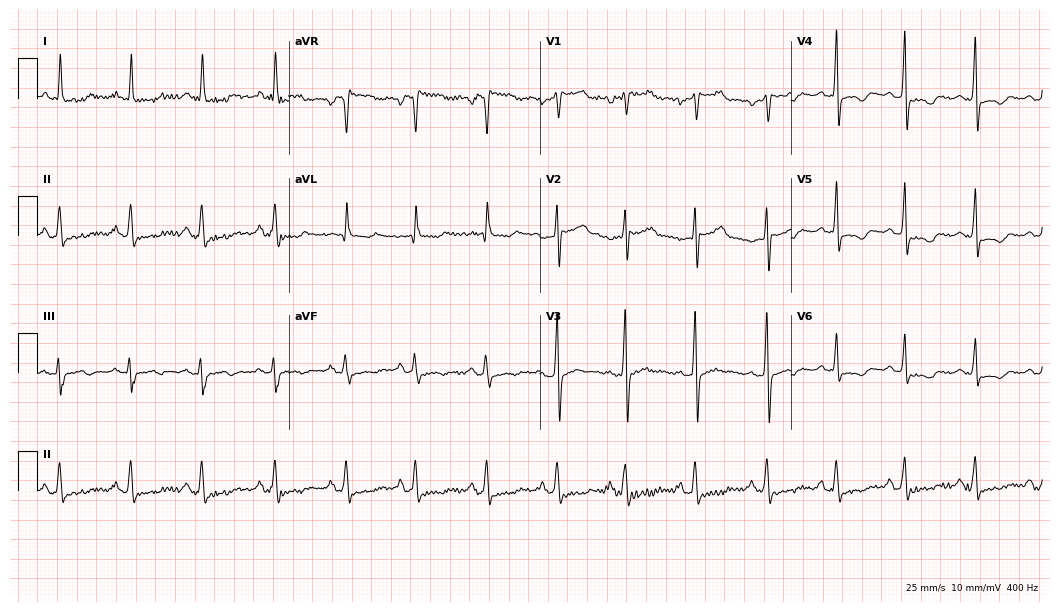
12-lead ECG from a female, 43 years old. Screened for six findings — first-degree AV block, right bundle branch block, left bundle branch block, sinus bradycardia, atrial fibrillation, sinus tachycardia — none is recorded. Other findings, if any, are not listed.